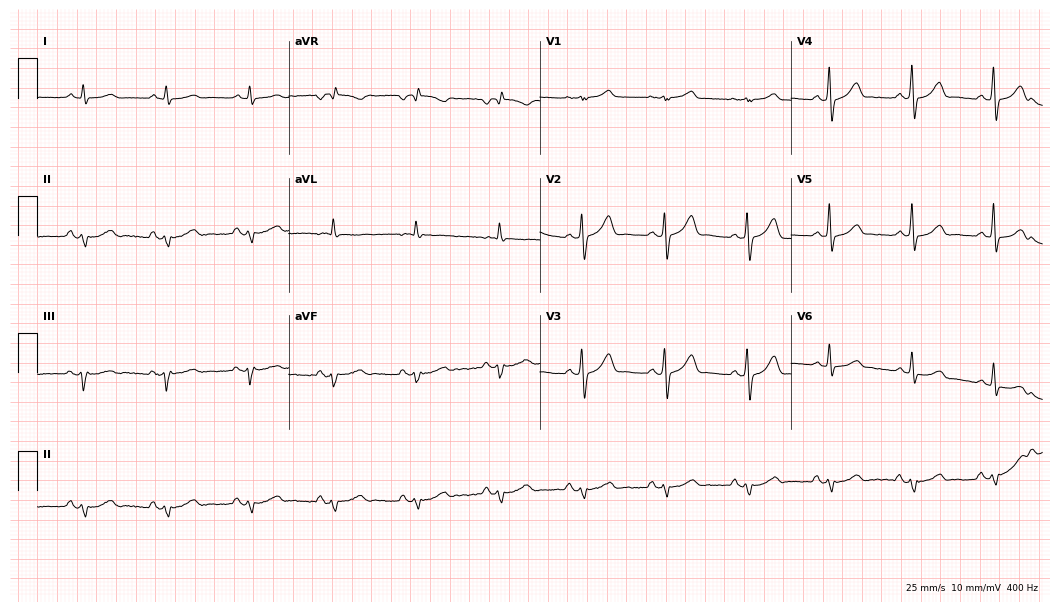
Electrocardiogram (10.2-second recording at 400 Hz), a male, 73 years old. Of the six screened findings (first-degree AV block, right bundle branch block, left bundle branch block, sinus bradycardia, atrial fibrillation, sinus tachycardia), none is recorded. Findings outside these six are not listed.